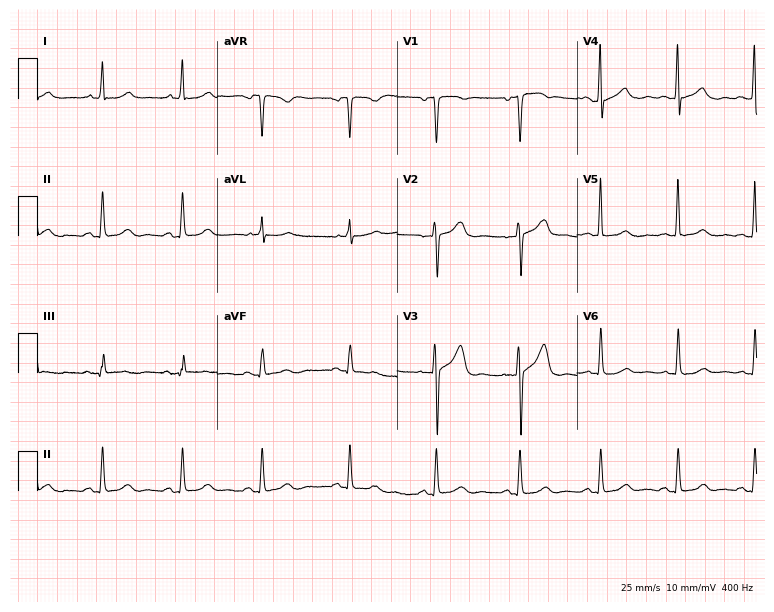
12-lead ECG (7.3-second recording at 400 Hz) from a 53-year-old female. Screened for six findings — first-degree AV block, right bundle branch block, left bundle branch block, sinus bradycardia, atrial fibrillation, sinus tachycardia — none is recorded. Other findings, if any, are not listed.